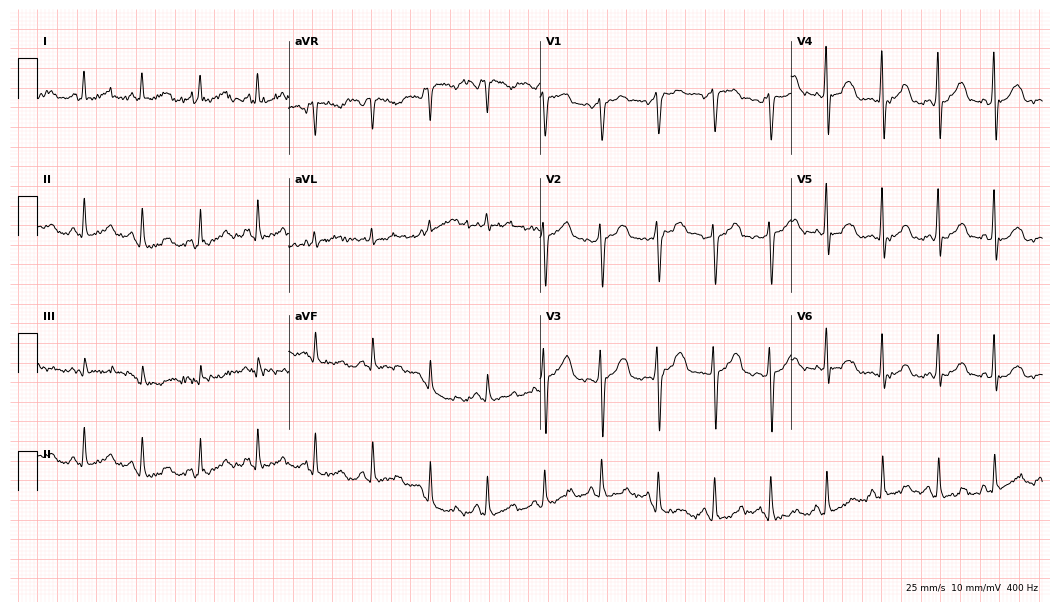
ECG (10.2-second recording at 400 Hz) — a 58-year-old female patient. Screened for six findings — first-degree AV block, right bundle branch block, left bundle branch block, sinus bradycardia, atrial fibrillation, sinus tachycardia — none is recorded.